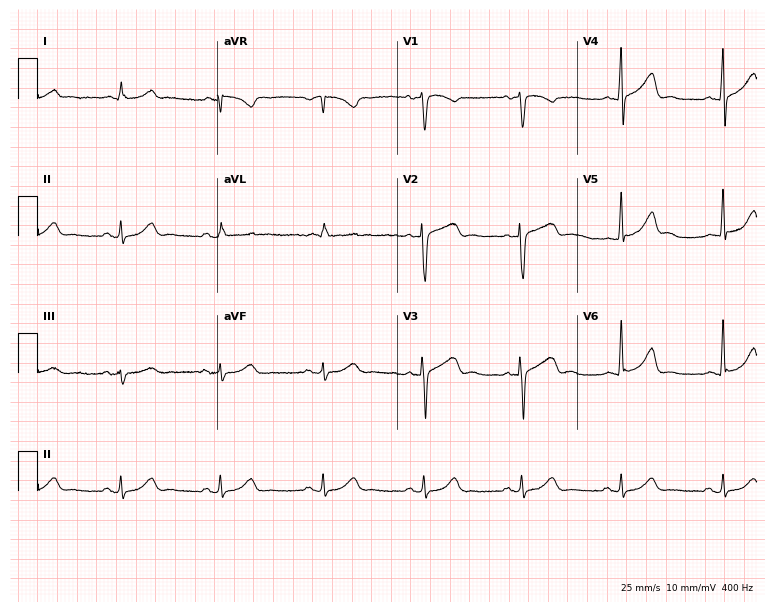
Standard 12-lead ECG recorded from a woman, 70 years old. None of these six findings is recorded: first-degree AV block, right bundle branch block, left bundle branch block, sinus bradycardia, atrial fibrillation, sinus tachycardia.